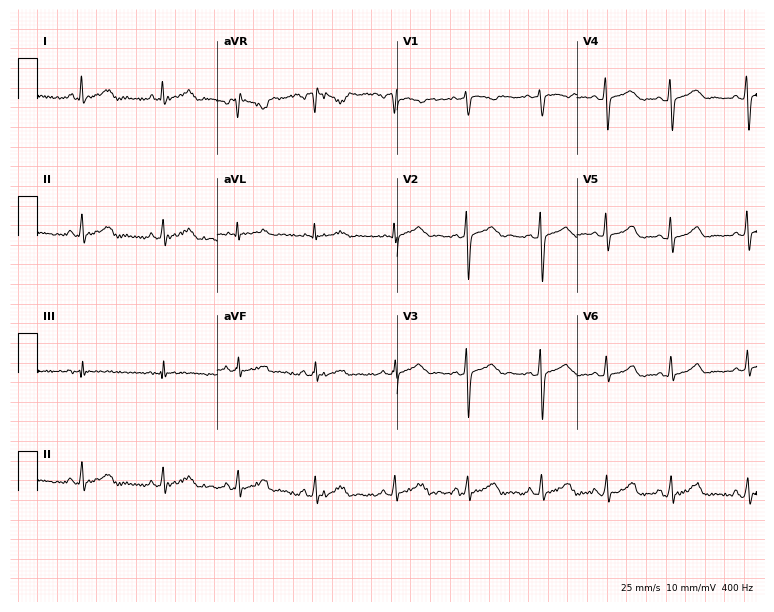
12-lead ECG from a 35-year-old female patient. Screened for six findings — first-degree AV block, right bundle branch block, left bundle branch block, sinus bradycardia, atrial fibrillation, sinus tachycardia — none is recorded. Findings outside these six are not listed.